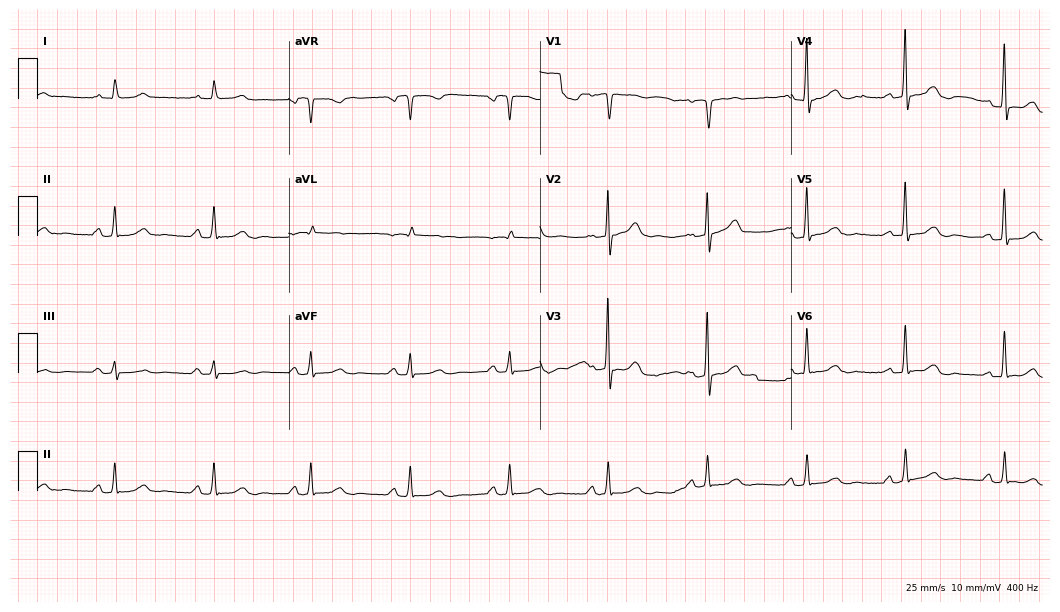
12-lead ECG (10.2-second recording at 400 Hz) from a male patient, 63 years old. Labelled as a normal ECG.